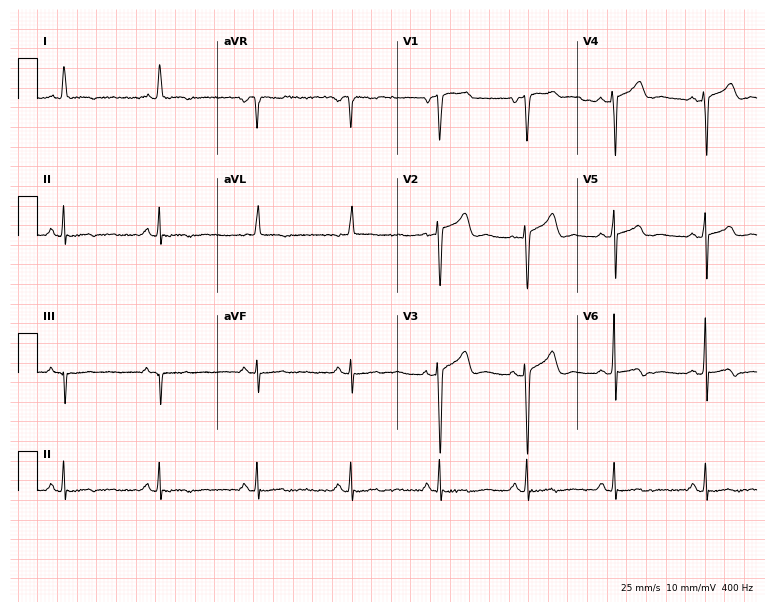
Electrocardiogram (7.3-second recording at 400 Hz), a 54-year-old male patient. Of the six screened findings (first-degree AV block, right bundle branch block, left bundle branch block, sinus bradycardia, atrial fibrillation, sinus tachycardia), none is recorded. Only these six findings were labelled.